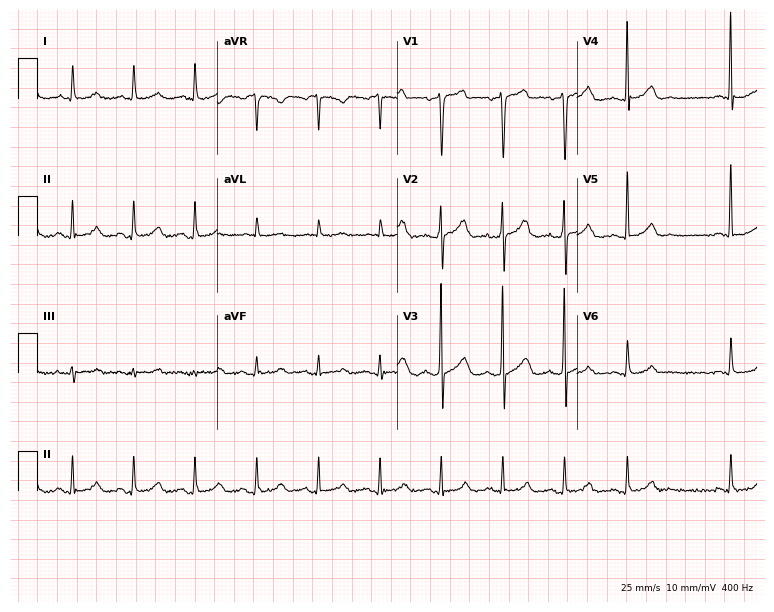
Resting 12-lead electrocardiogram (7.3-second recording at 400 Hz). Patient: a male, 79 years old. Read as a normal ECG.